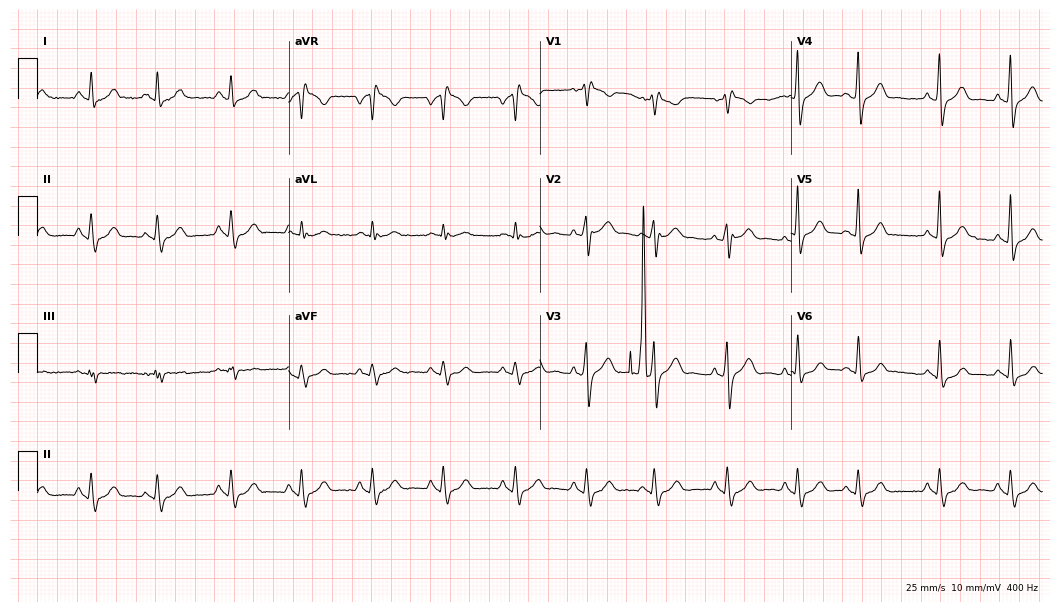
12-lead ECG from a female, 40 years old. Shows right bundle branch block.